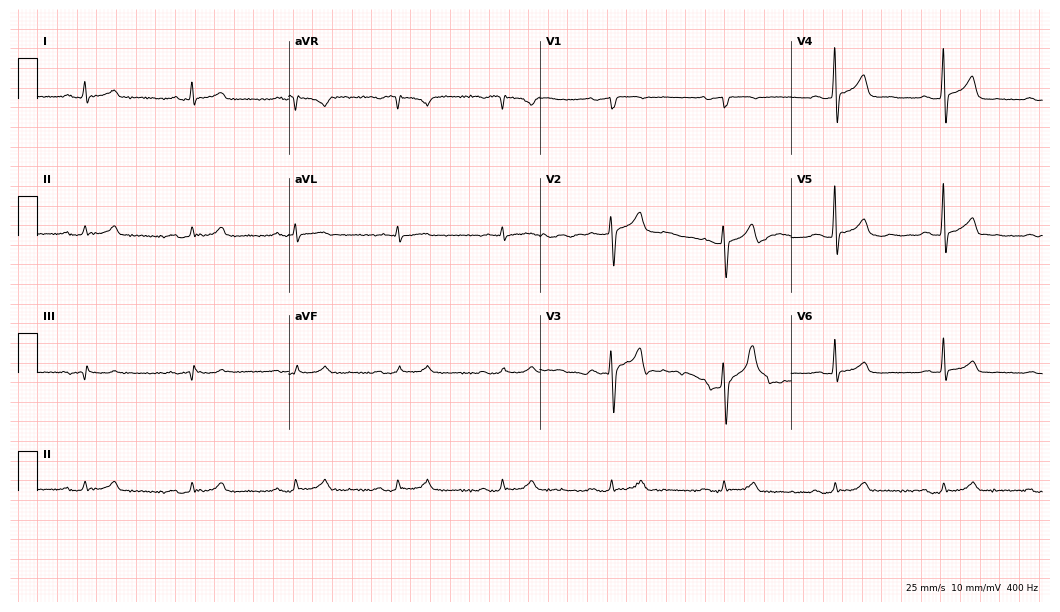
12-lead ECG from a man, 73 years old (10.2-second recording at 400 Hz). Recorded interpretation: within normal limits.